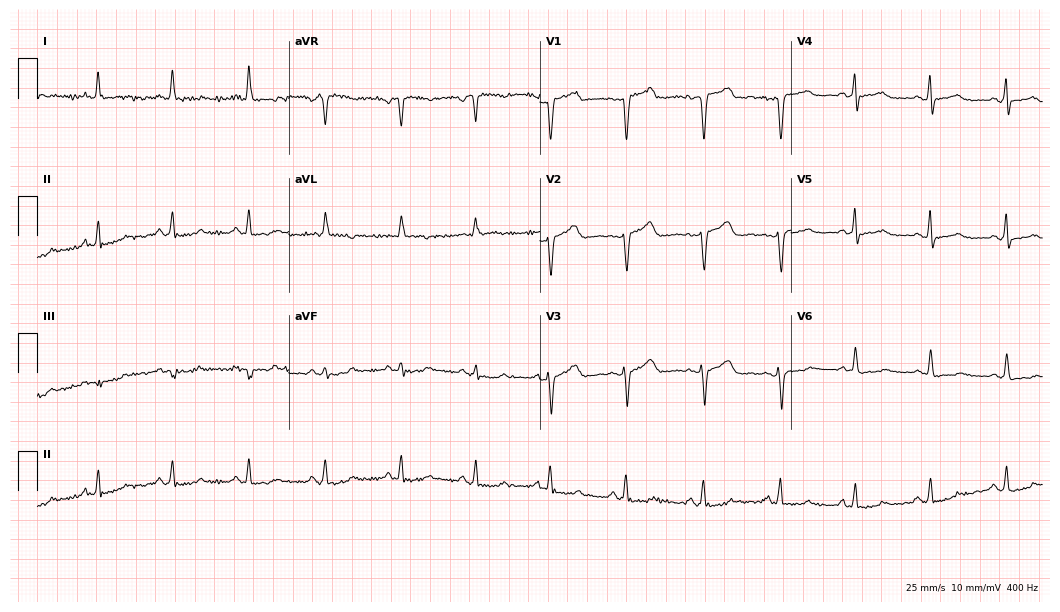
12-lead ECG from a woman, 59 years old. Labelled as a normal ECG.